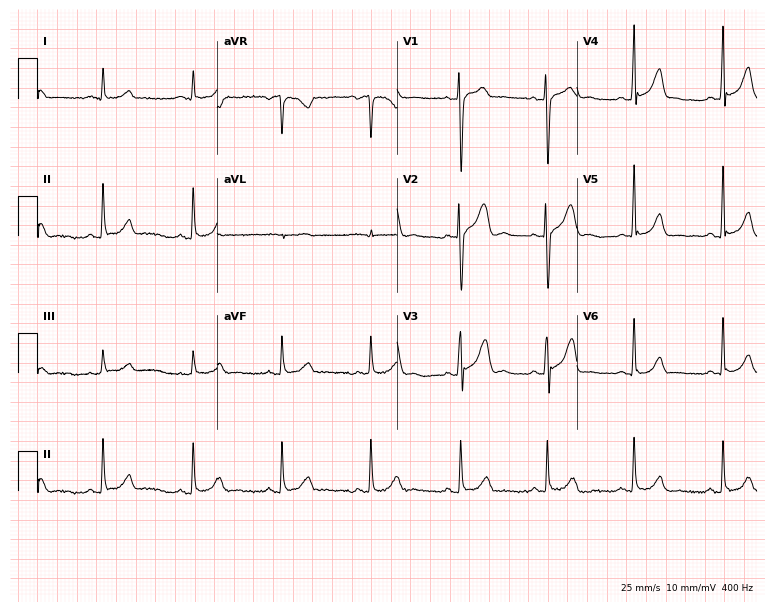
ECG — a male patient, 45 years old. Labelled as a normal ECG.